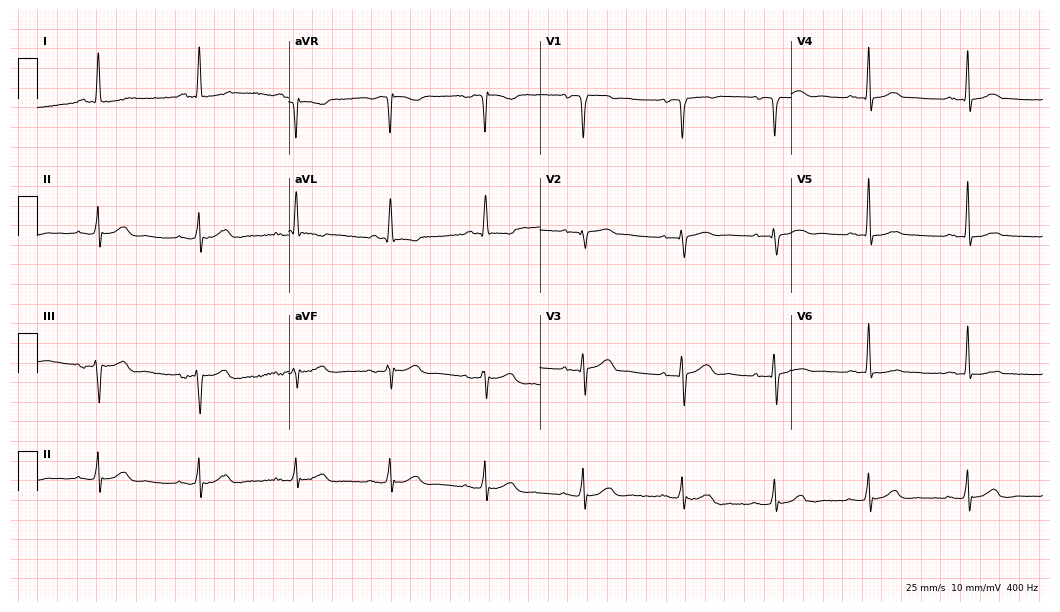
12-lead ECG (10.2-second recording at 400 Hz) from a 59-year-old female. Labelled as a normal ECG.